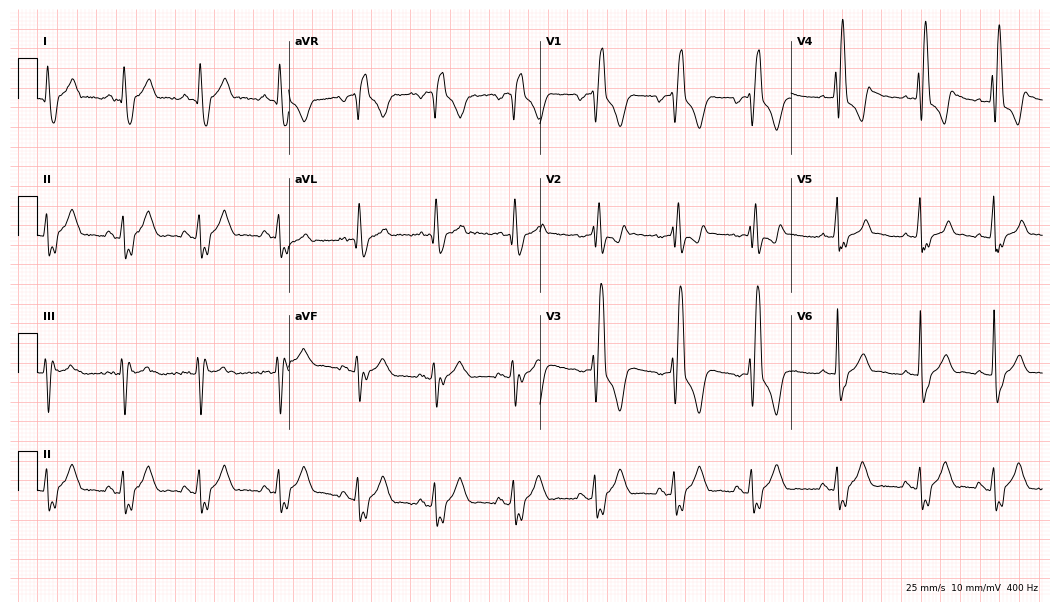
Resting 12-lead electrocardiogram (10.2-second recording at 400 Hz). Patient: a male, 19 years old. The tracing shows right bundle branch block.